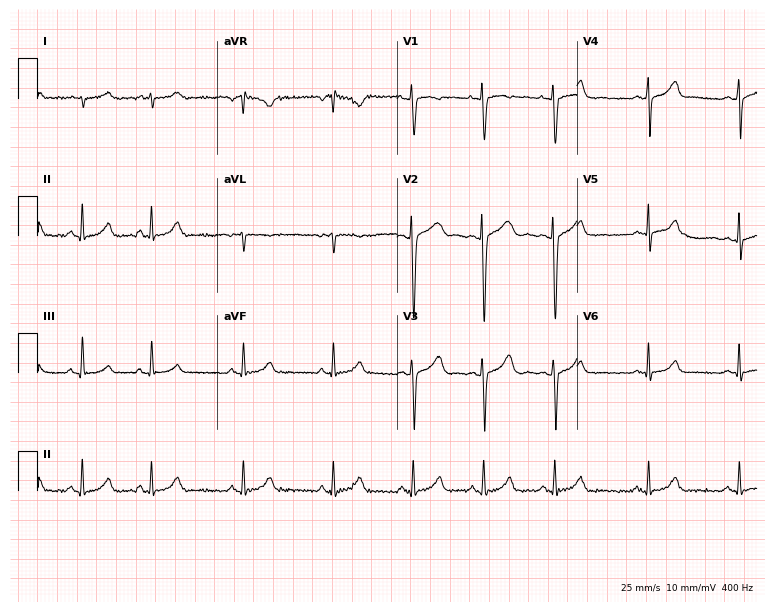
12-lead ECG from an 18-year-old woman. No first-degree AV block, right bundle branch block (RBBB), left bundle branch block (LBBB), sinus bradycardia, atrial fibrillation (AF) or sinus tachycardia recorded for this tracing.